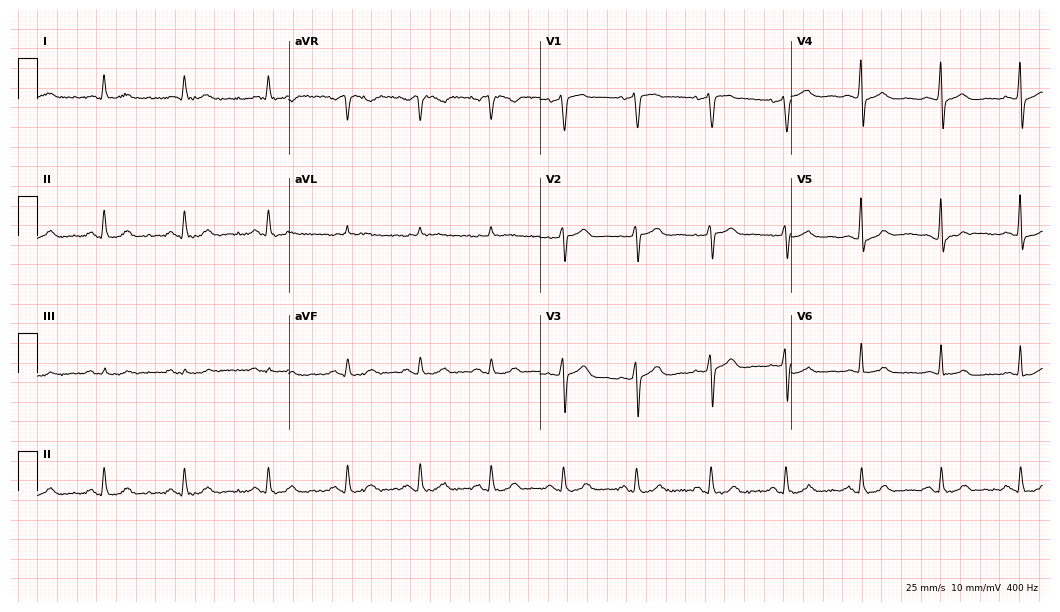
Electrocardiogram, a 60-year-old man. Overall reading on record: normal ECG.